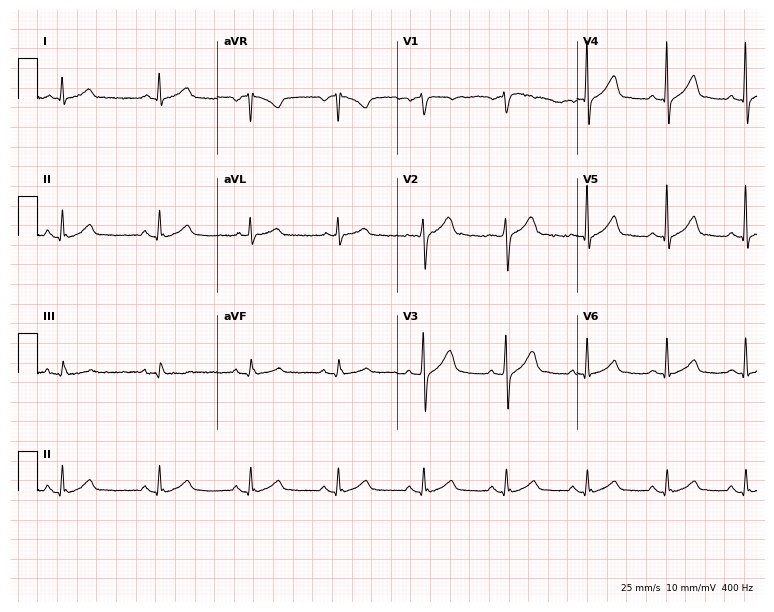
Electrocardiogram, a male, 59 years old. Overall reading on record: normal ECG.